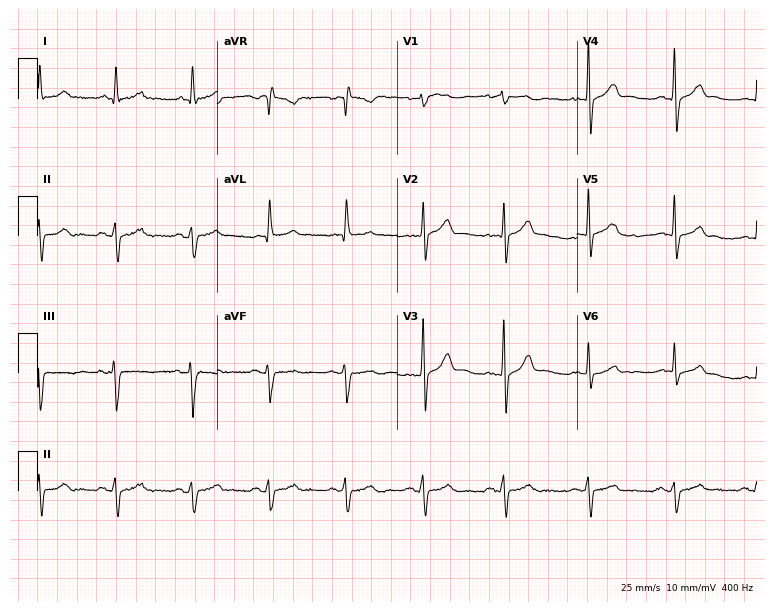
Resting 12-lead electrocardiogram (7.3-second recording at 400 Hz). Patient: a female, 54 years old. None of these six findings is recorded: first-degree AV block, right bundle branch block (RBBB), left bundle branch block (LBBB), sinus bradycardia, atrial fibrillation (AF), sinus tachycardia.